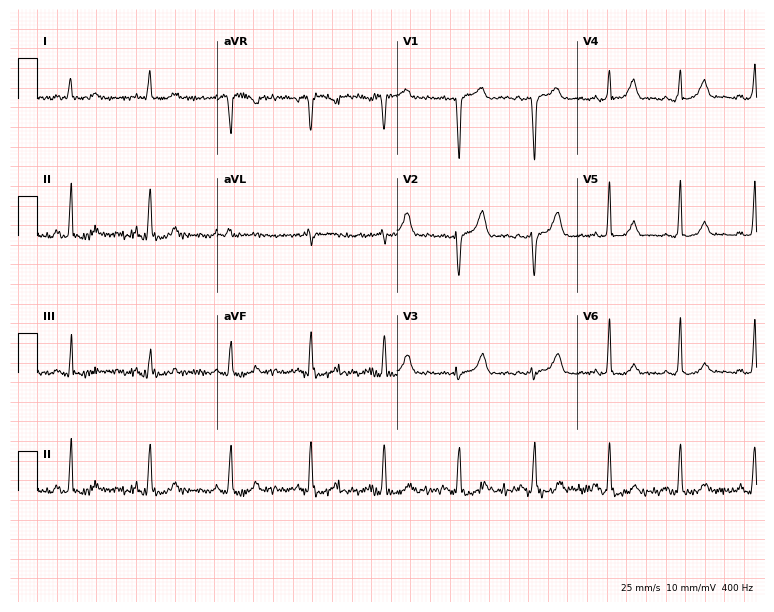
12-lead ECG from a woman, 44 years old. No first-degree AV block, right bundle branch block (RBBB), left bundle branch block (LBBB), sinus bradycardia, atrial fibrillation (AF) or sinus tachycardia recorded for this tracing.